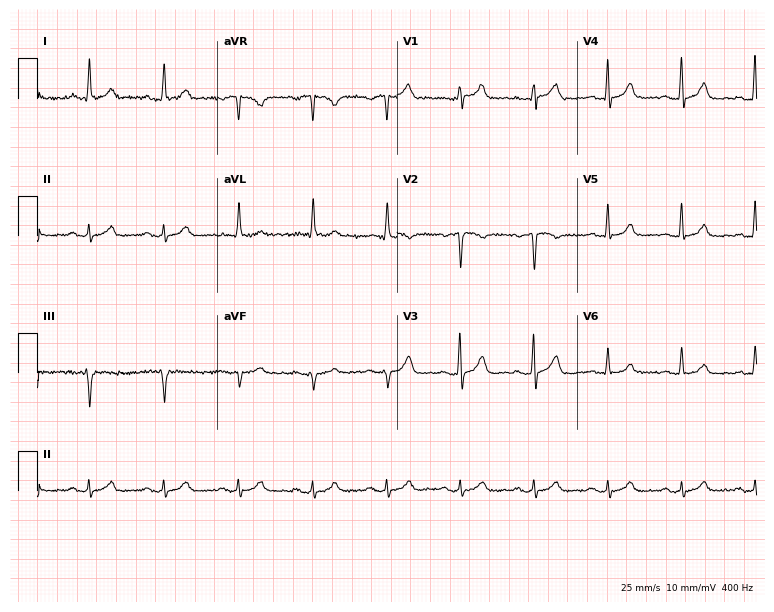
ECG (7.3-second recording at 400 Hz) — a 67-year-old male patient. Labelled as a normal ECG.